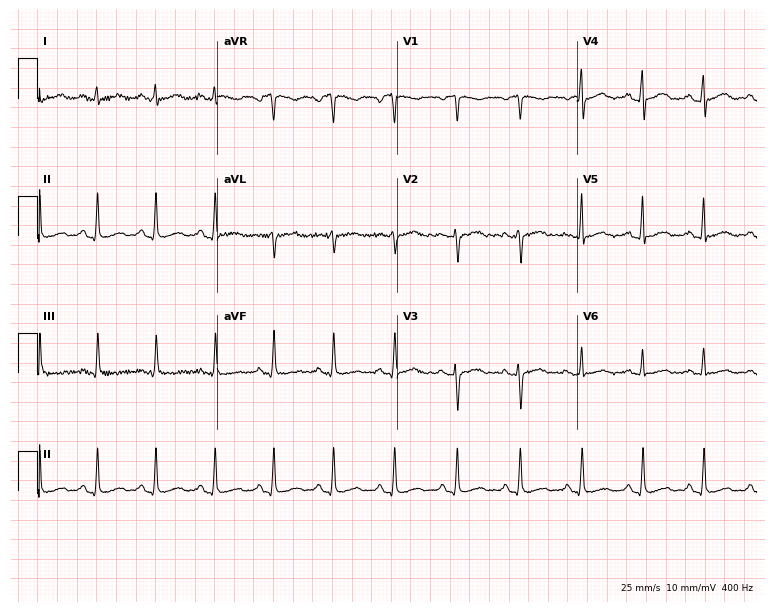
Resting 12-lead electrocardiogram. Patient: a 51-year-old female. None of these six findings is recorded: first-degree AV block, right bundle branch block, left bundle branch block, sinus bradycardia, atrial fibrillation, sinus tachycardia. Only these six findings were labelled.